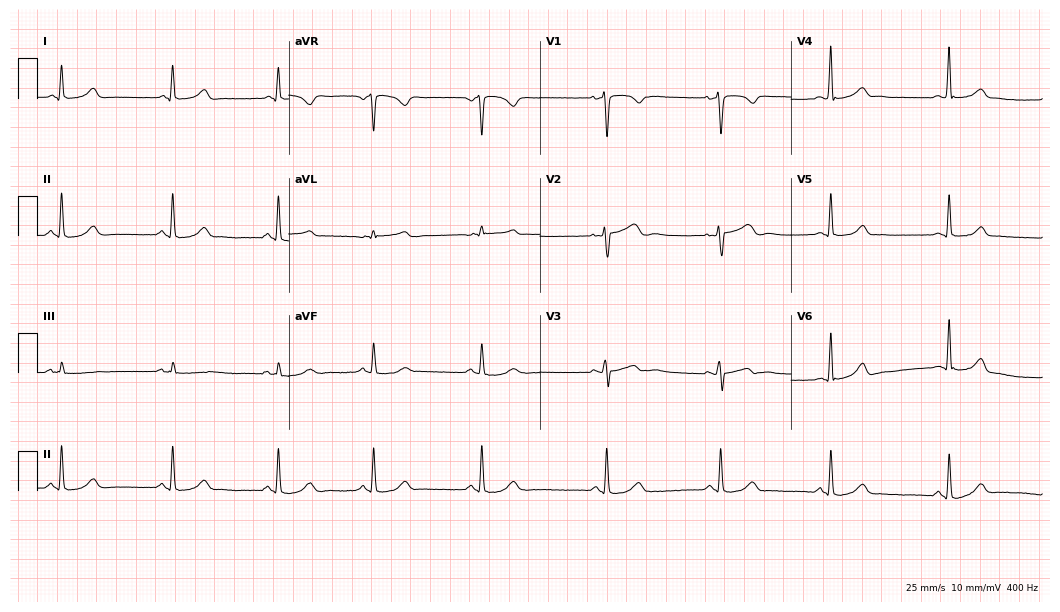
ECG (10.2-second recording at 400 Hz) — a female patient, 33 years old. Labelled as a normal ECG.